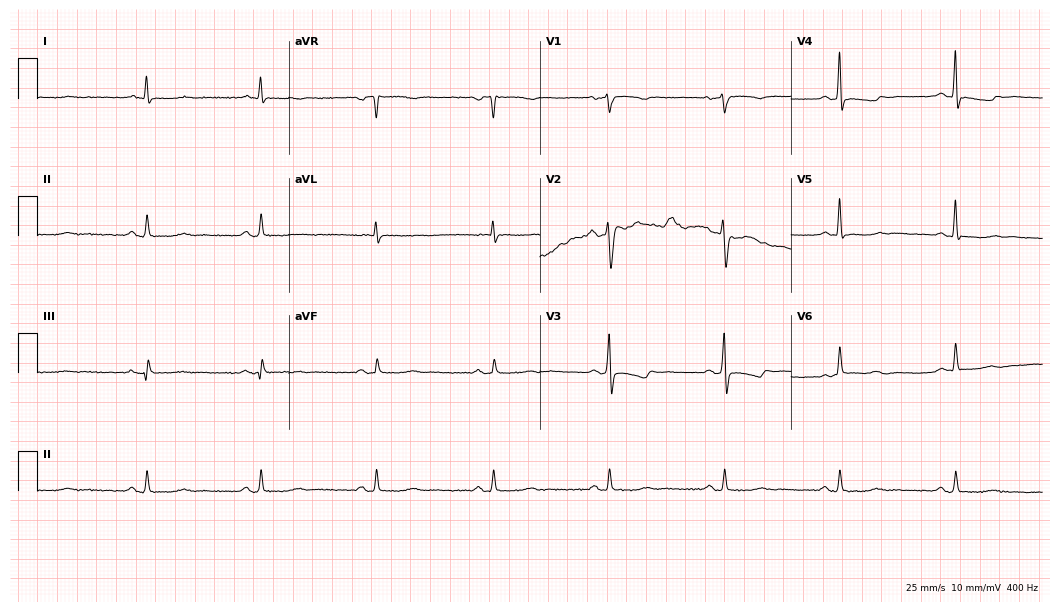
ECG (10.2-second recording at 400 Hz) — a 63-year-old female. Screened for six findings — first-degree AV block, right bundle branch block, left bundle branch block, sinus bradycardia, atrial fibrillation, sinus tachycardia — none is recorded.